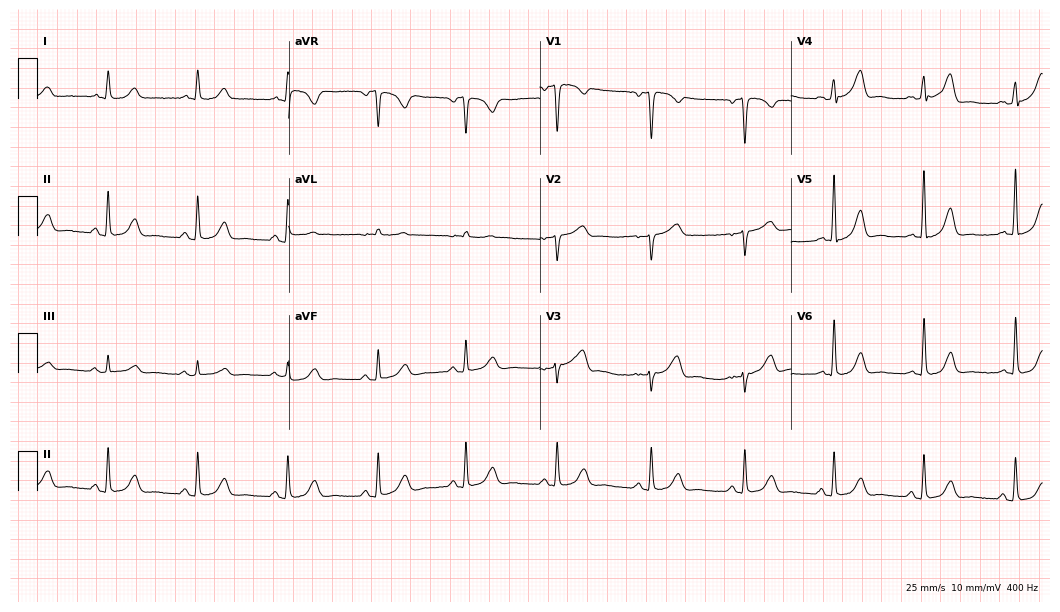
12-lead ECG from a female, 47 years old (10.2-second recording at 400 Hz). No first-degree AV block, right bundle branch block (RBBB), left bundle branch block (LBBB), sinus bradycardia, atrial fibrillation (AF) or sinus tachycardia recorded for this tracing.